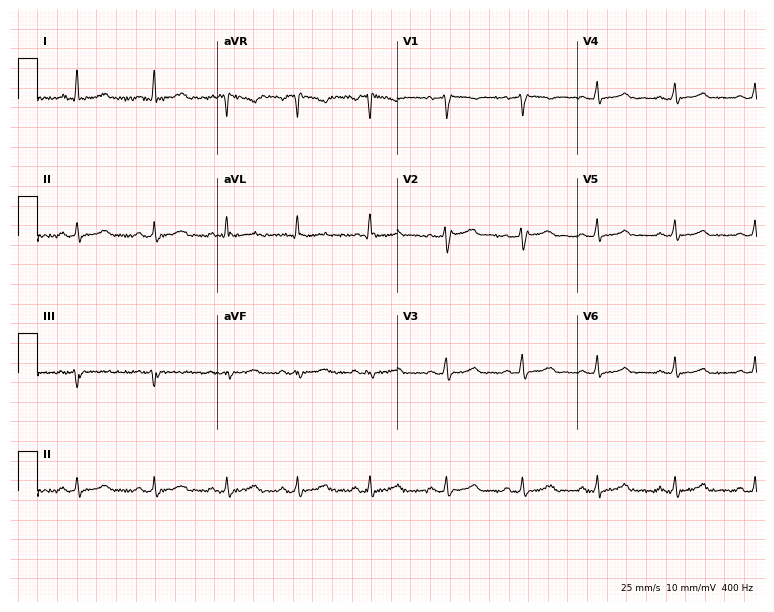
ECG (7.3-second recording at 400 Hz) — a female patient, 38 years old. Labelled as a normal ECG.